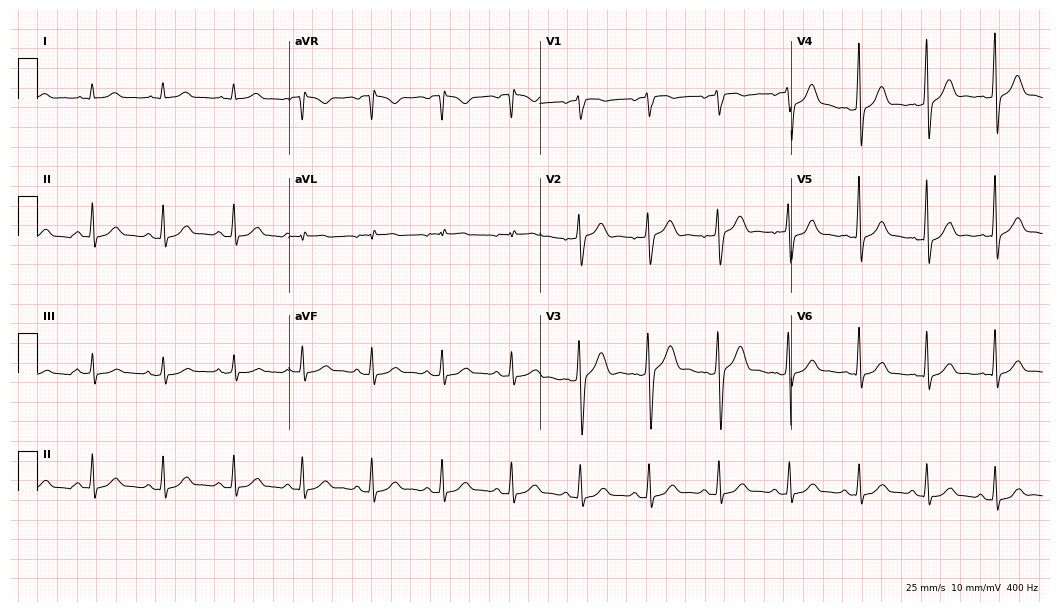
12-lead ECG from a male patient, 53 years old. No first-degree AV block, right bundle branch block, left bundle branch block, sinus bradycardia, atrial fibrillation or sinus tachycardia recorded for this tracing.